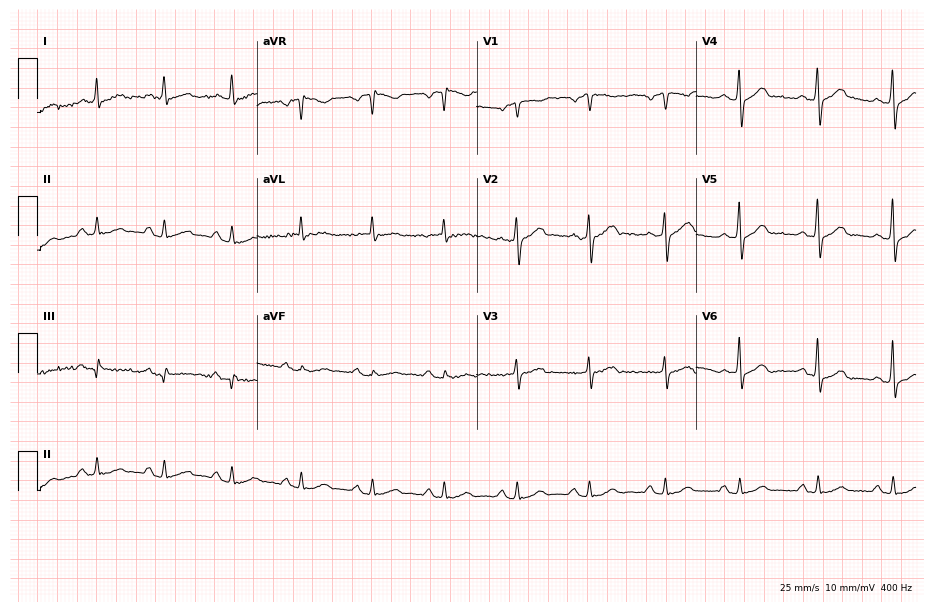
Standard 12-lead ECG recorded from a 63-year-old male (9-second recording at 400 Hz). Read as a normal ECG.